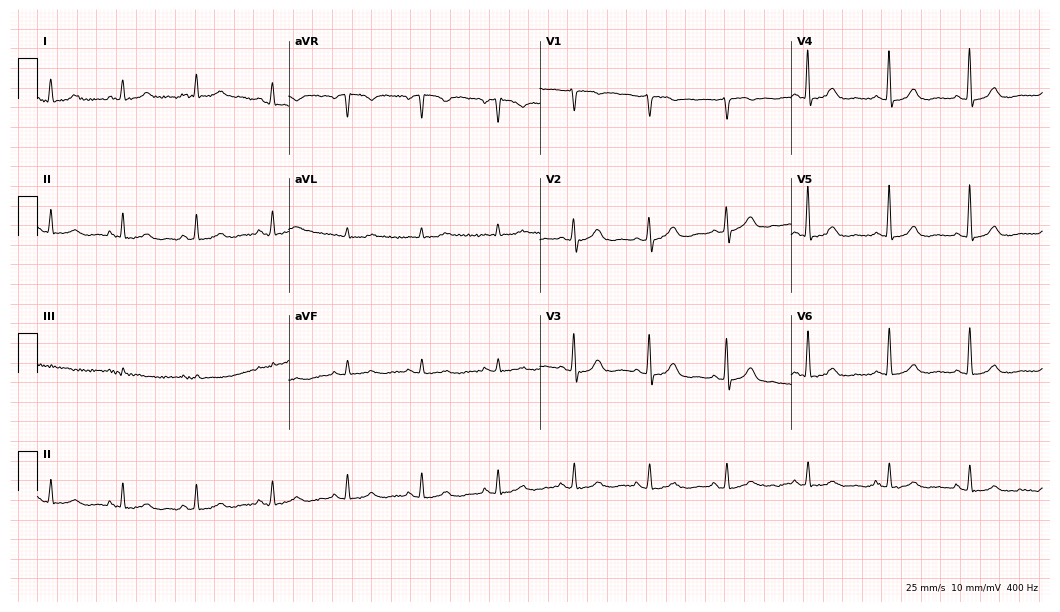
ECG — a female, 74 years old. Labelled as a normal ECG.